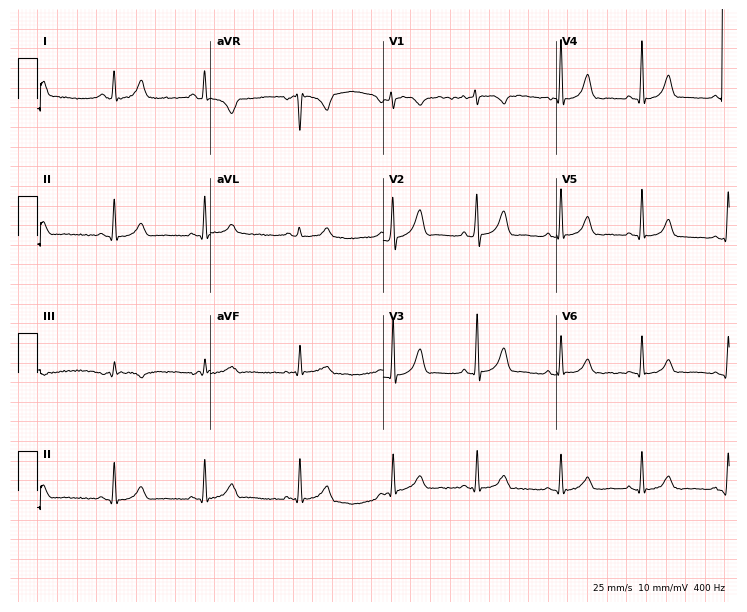
Electrocardiogram (7.1-second recording at 400 Hz), a female patient, 22 years old. Overall reading on record: normal ECG.